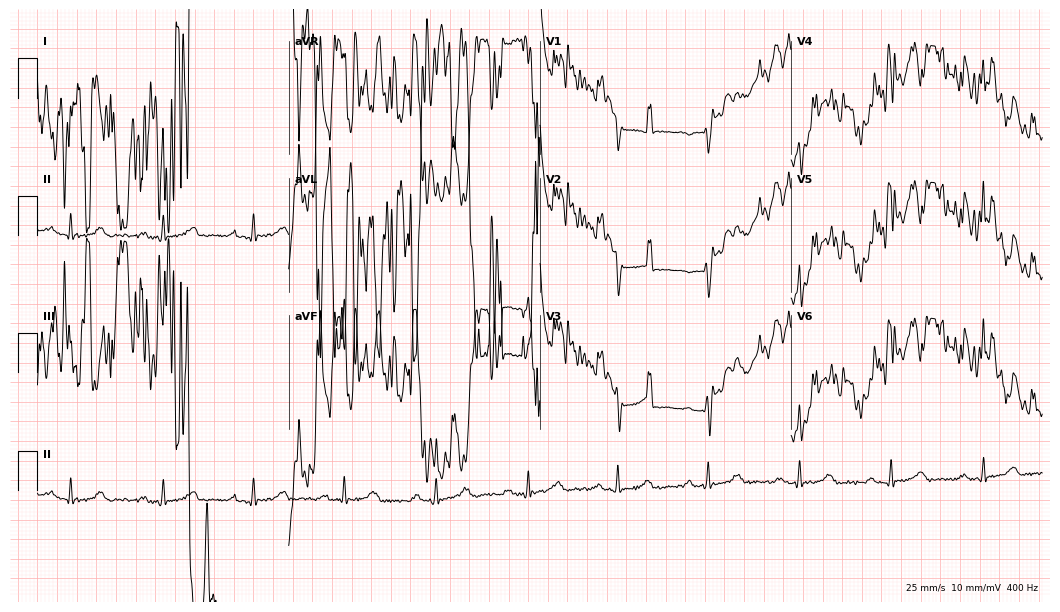
12-lead ECG from a female patient, 61 years old. No first-degree AV block, right bundle branch block, left bundle branch block, sinus bradycardia, atrial fibrillation or sinus tachycardia recorded for this tracing. Other findings, if any, are not listed.